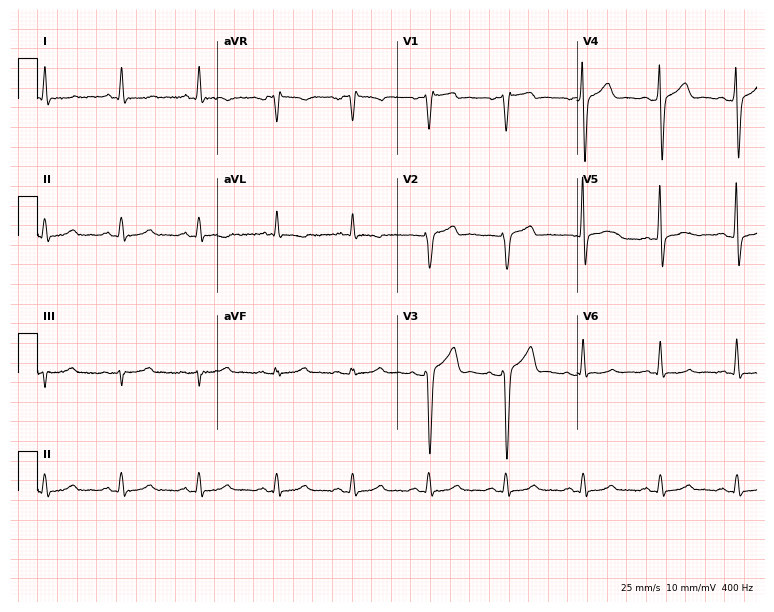
Electrocardiogram (7.3-second recording at 400 Hz), a male patient, 58 years old. Of the six screened findings (first-degree AV block, right bundle branch block, left bundle branch block, sinus bradycardia, atrial fibrillation, sinus tachycardia), none is recorded. Only these six findings were labelled.